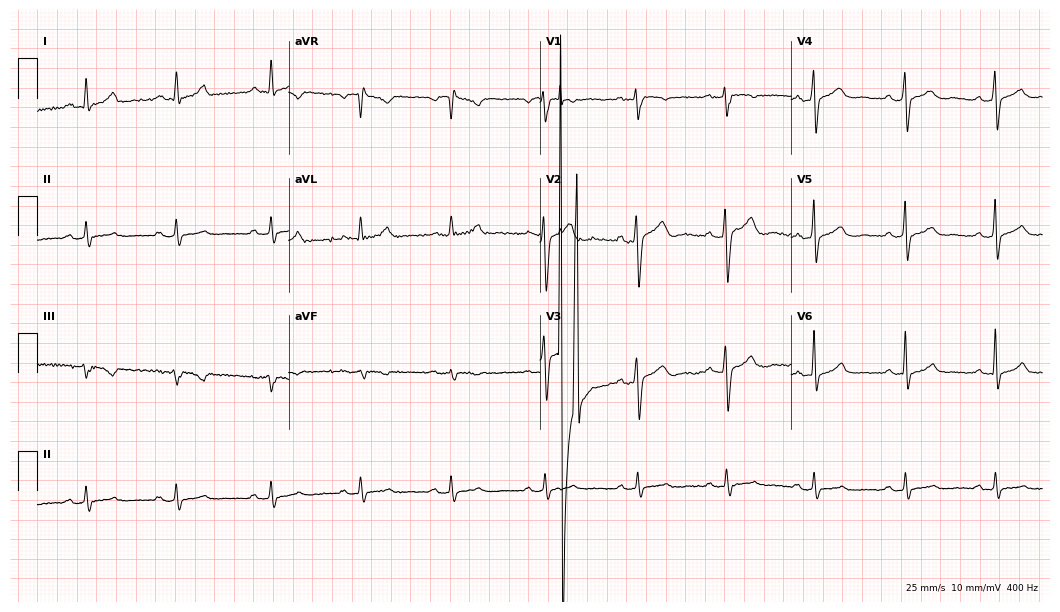
Standard 12-lead ECG recorded from a man, 26 years old (10.2-second recording at 400 Hz). Read as a normal ECG.